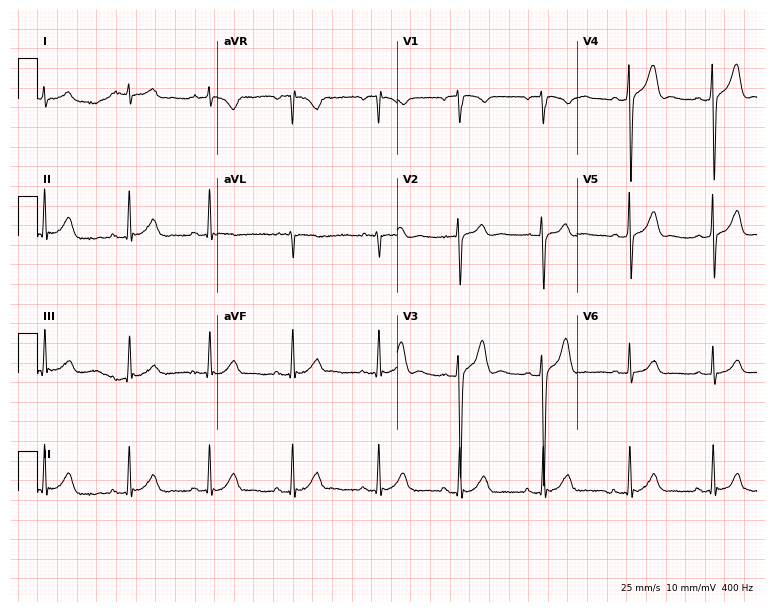
Resting 12-lead electrocardiogram. Patient: a male, 24 years old. Read as a normal ECG.